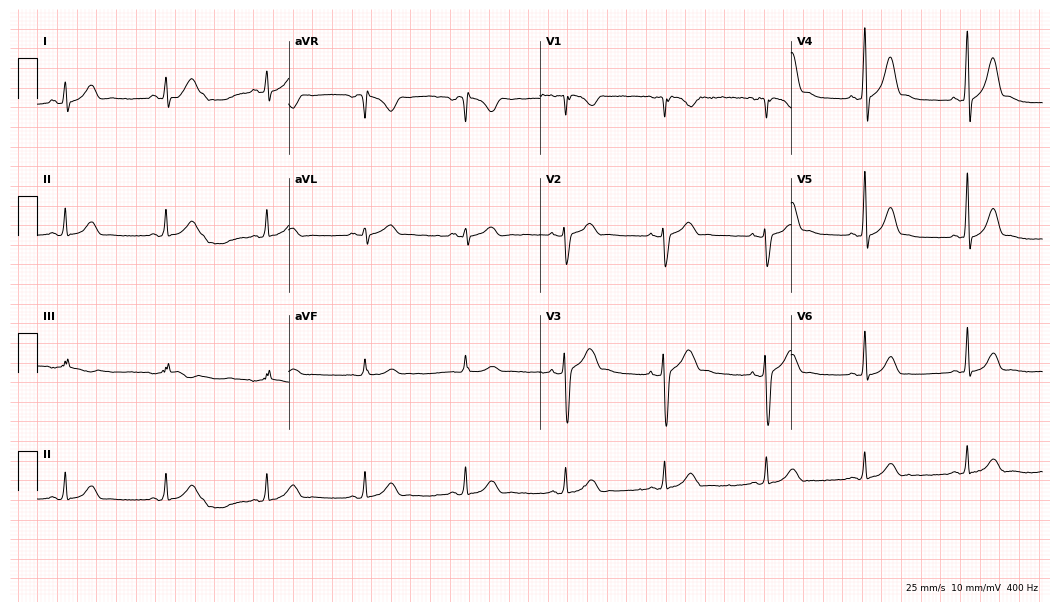
12-lead ECG (10.2-second recording at 400 Hz) from a male, 20 years old. Labelled as a normal ECG.